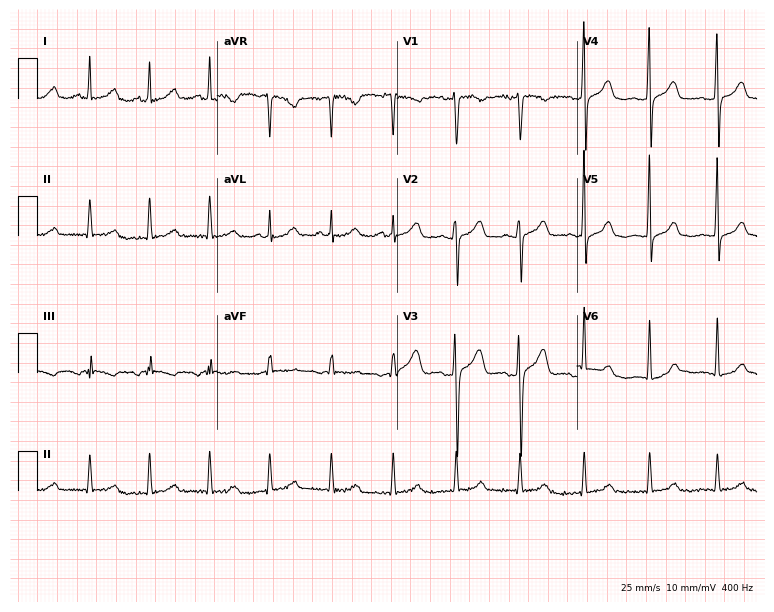
Resting 12-lead electrocardiogram. Patient: a female, 46 years old. None of these six findings is recorded: first-degree AV block, right bundle branch block, left bundle branch block, sinus bradycardia, atrial fibrillation, sinus tachycardia. Only these six findings were labelled.